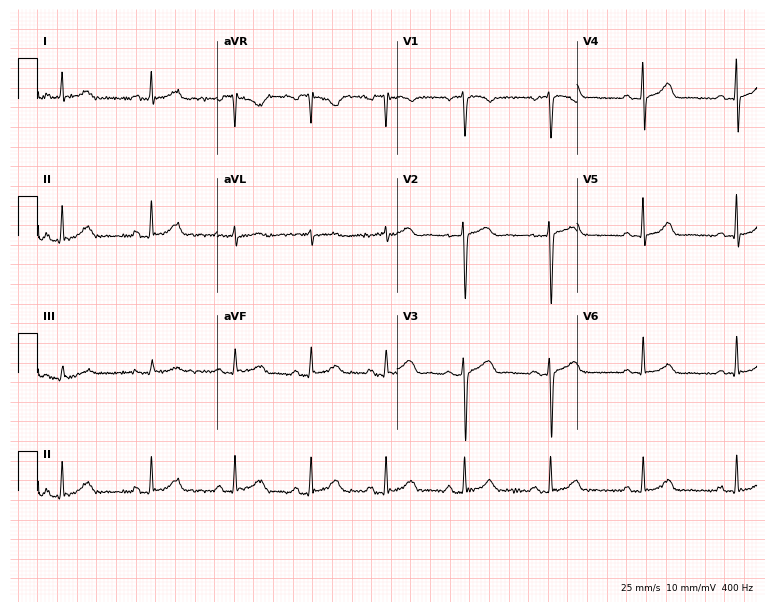
12-lead ECG from a 34-year-old female. Labelled as a normal ECG.